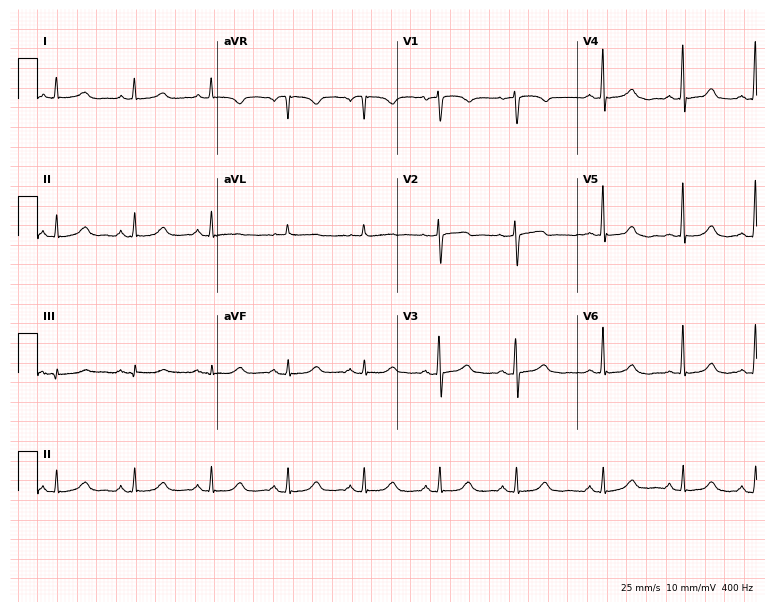
Standard 12-lead ECG recorded from a female, 80 years old (7.3-second recording at 400 Hz). Read as a normal ECG.